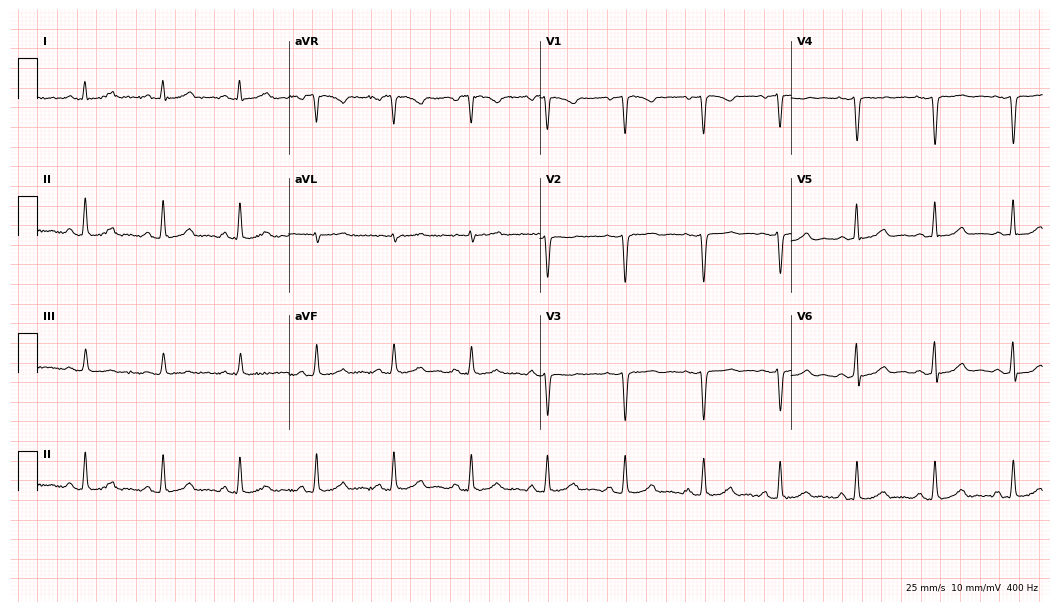
Resting 12-lead electrocardiogram. Patient: a 39-year-old woman. None of these six findings is recorded: first-degree AV block, right bundle branch block, left bundle branch block, sinus bradycardia, atrial fibrillation, sinus tachycardia. Other findings, if any, are not listed.